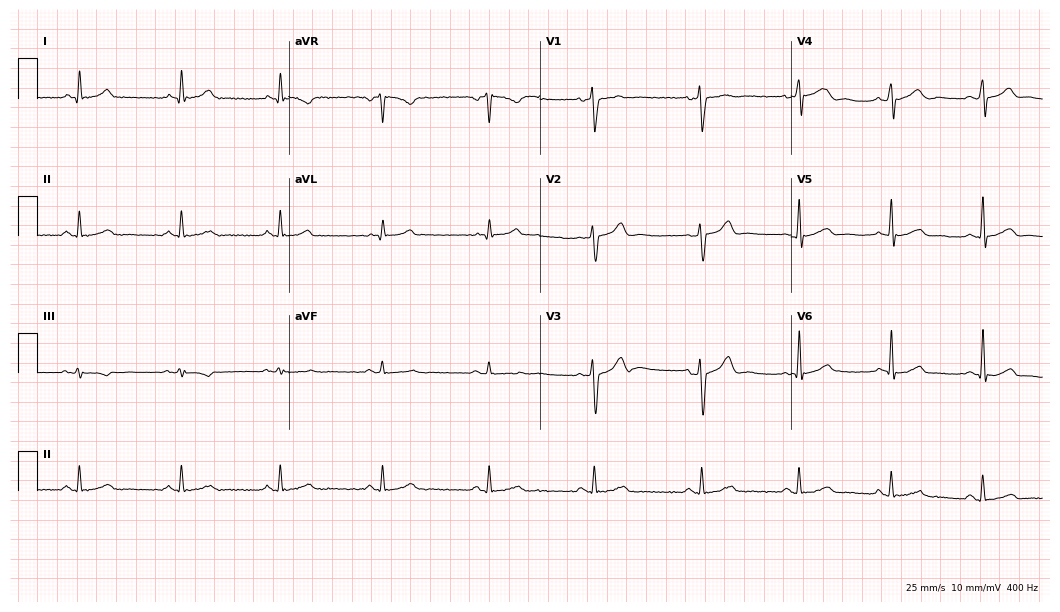
Resting 12-lead electrocardiogram (10.2-second recording at 400 Hz). Patient: a male, 43 years old. Read as a normal ECG.